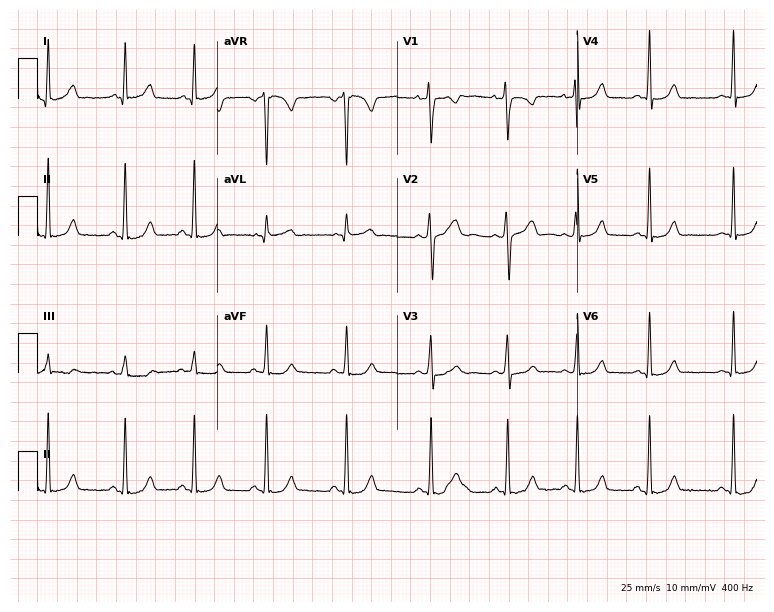
12-lead ECG (7.3-second recording at 400 Hz) from a female, 18 years old. Labelled as a normal ECG.